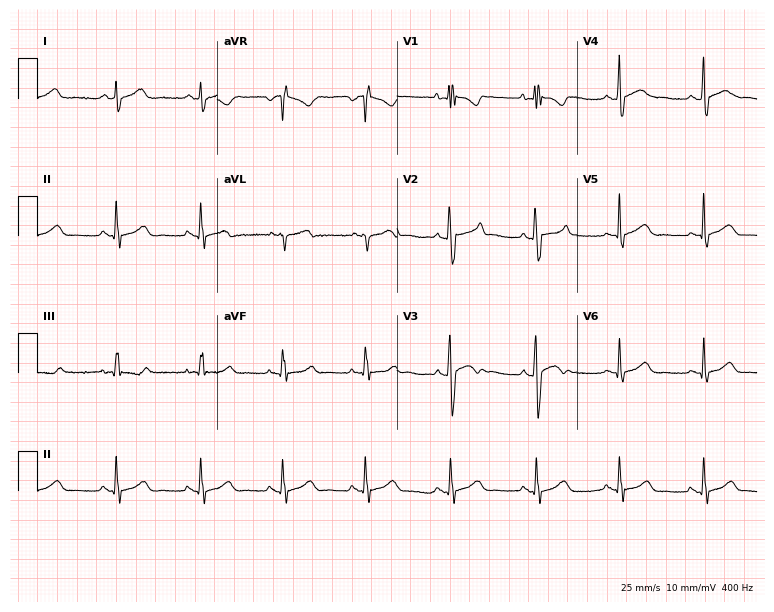
Resting 12-lead electrocardiogram (7.3-second recording at 400 Hz). Patient: a woman, 25 years old. None of these six findings is recorded: first-degree AV block, right bundle branch block, left bundle branch block, sinus bradycardia, atrial fibrillation, sinus tachycardia. Only these six findings were labelled.